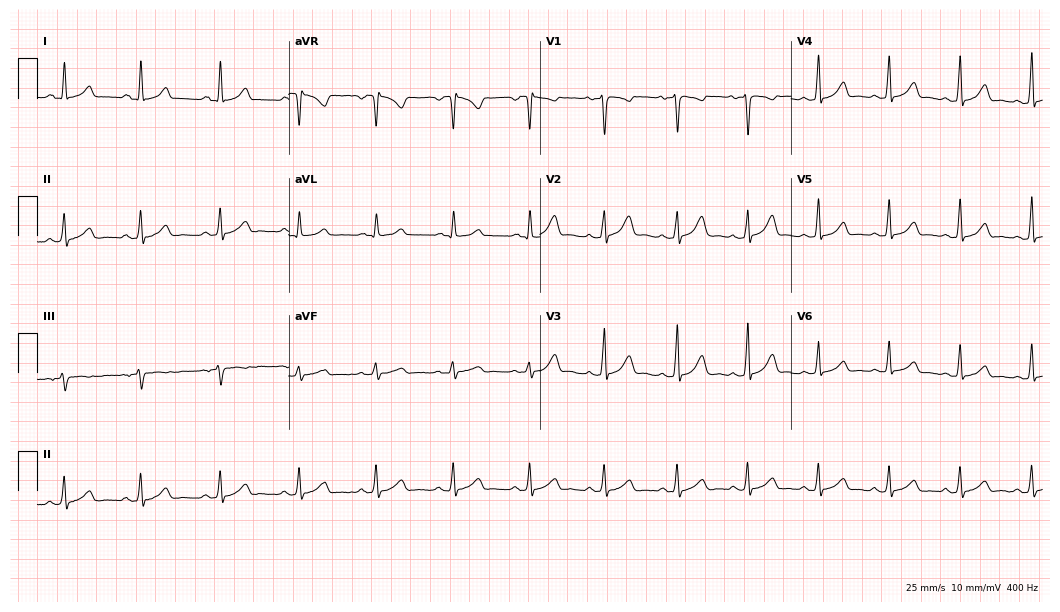
Resting 12-lead electrocardiogram (10.2-second recording at 400 Hz). Patient: a woman, 36 years old. Read as a normal ECG.